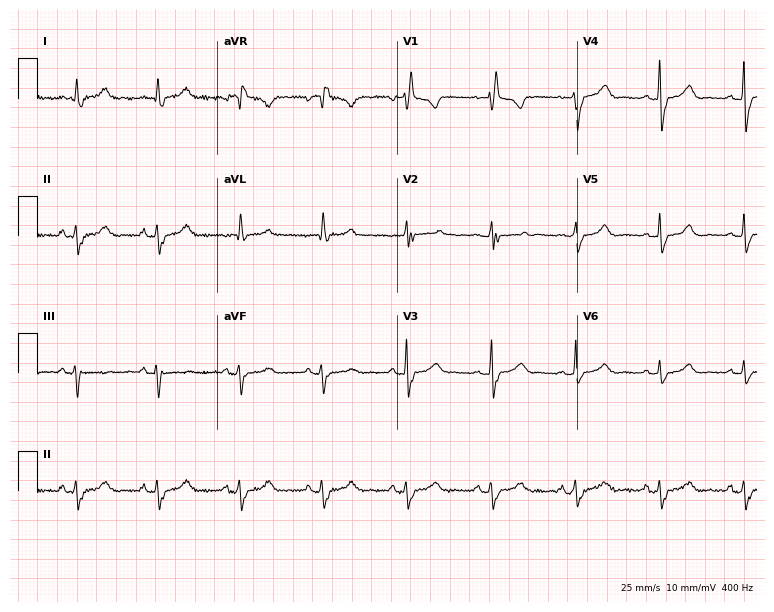
Resting 12-lead electrocardiogram. Patient: a female, 54 years old. The tracing shows right bundle branch block (RBBB).